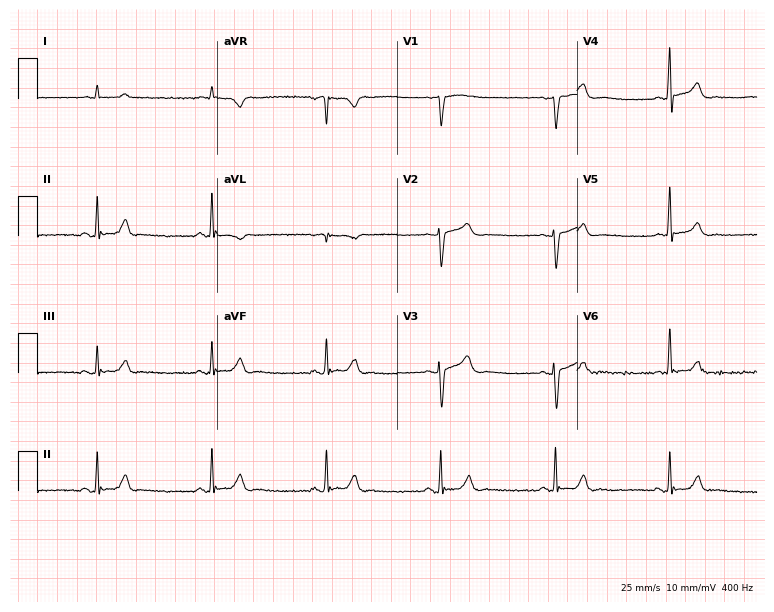
Standard 12-lead ECG recorded from a male, 74 years old (7.3-second recording at 400 Hz). None of these six findings is recorded: first-degree AV block, right bundle branch block, left bundle branch block, sinus bradycardia, atrial fibrillation, sinus tachycardia.